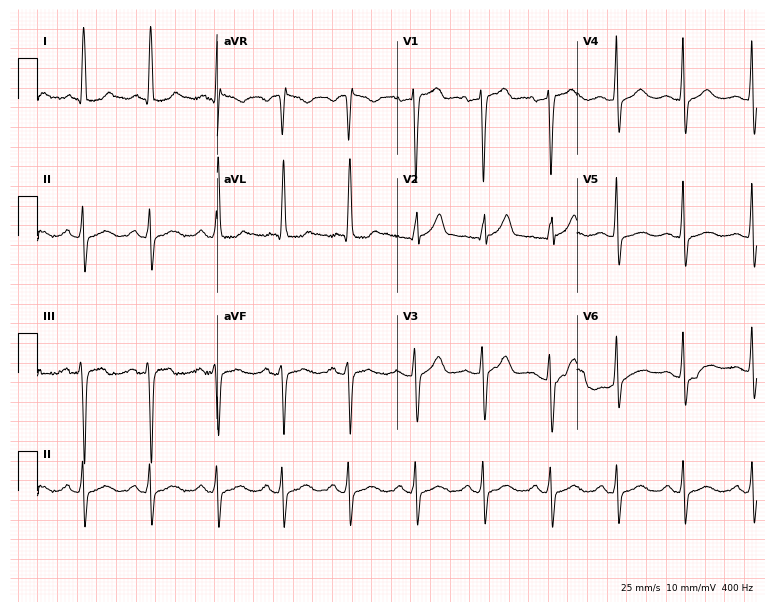
12-lead ECG from a 58-year-old female patient. Screened for six findings — first-degree AV block, right bundle branch block, left bundle branch block, sinus bradycardia, atrial fibrillation, sinus tachycardia — none is recorded.